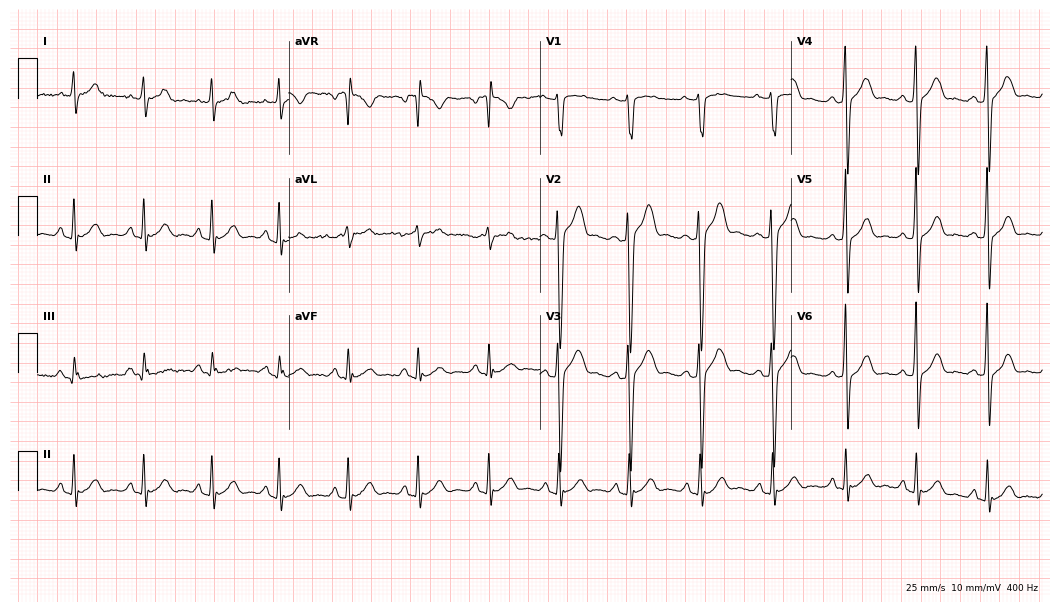
Resting 12-lead electrocardiogram (10.2-second recording at 400 Hz). Patient: a 28-year-old male. Read as a normal ECG.